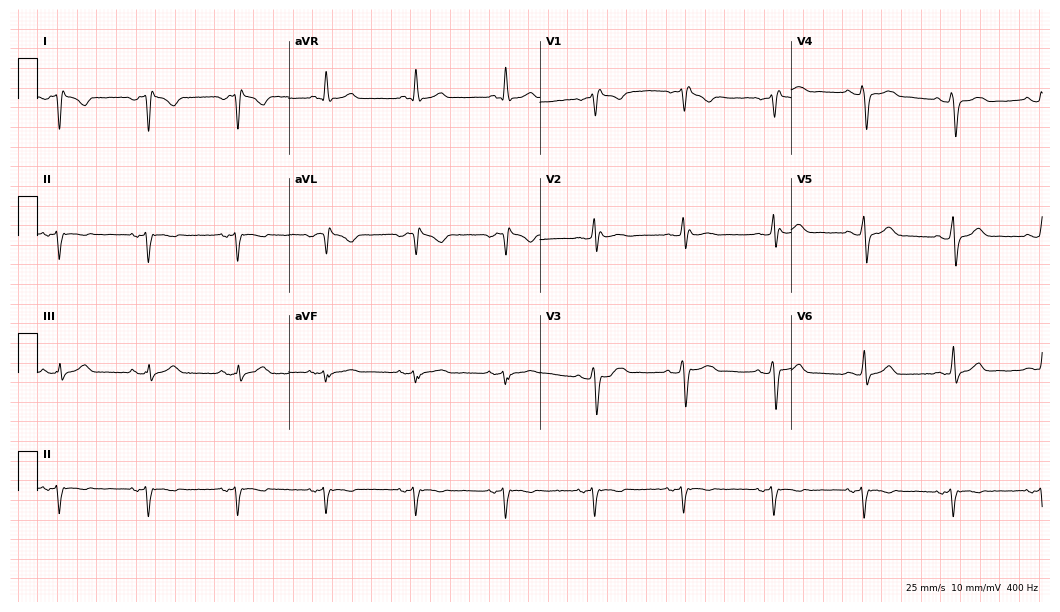
ECG (10.2-second recording at 400 Hz) — a 55-year-old male patient. Screened for six findings — first-degree AV block, right bundle branch block (RBBB), left bundle branch block (LBBB), sinus bradycardia, atrial fibrillation (AF), sinus tachycardia — none is recorded.